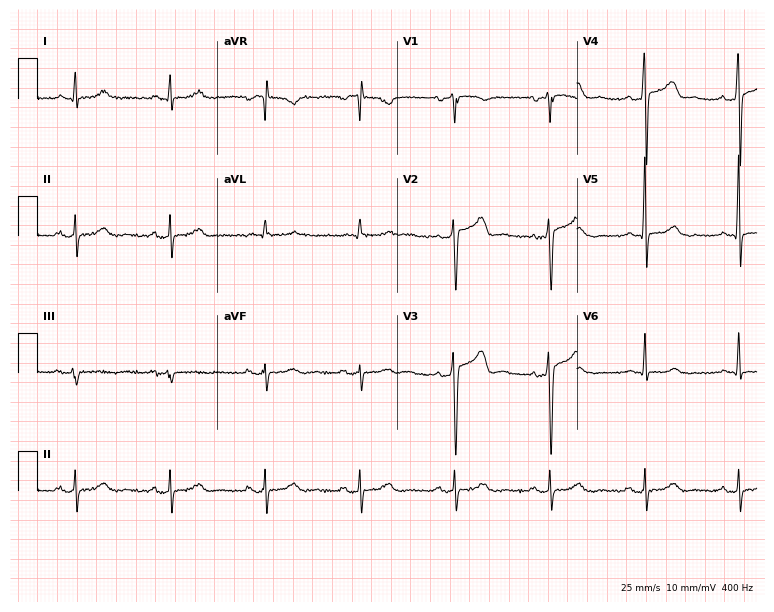
Electrocardiogram, a male patient, 58 years old. Overall reading on record: normal ECG.